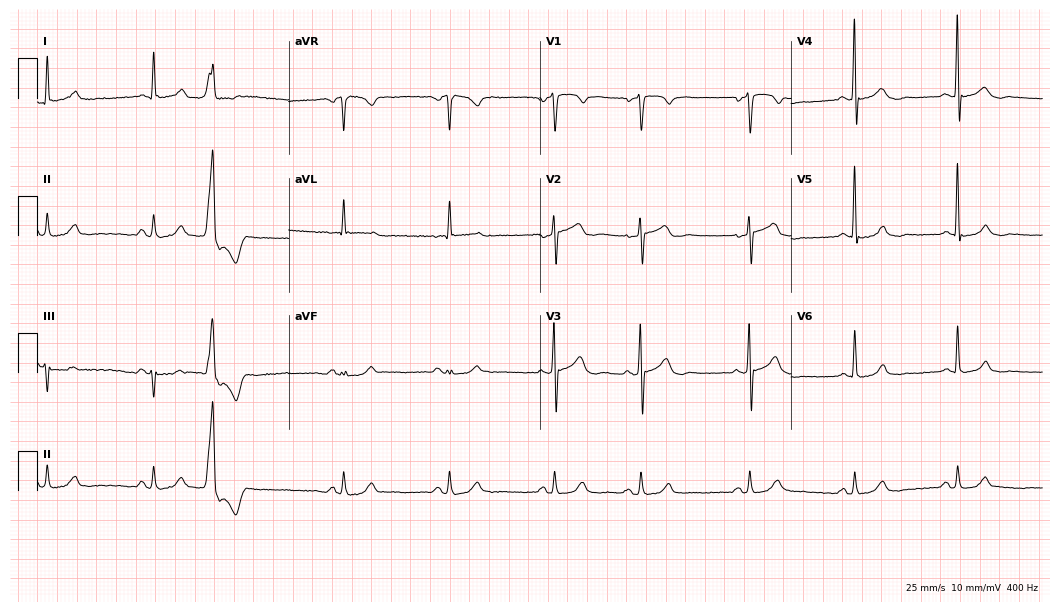
12-lead ECG from a male patient, 61 years old. Labelled as a normal ECG.